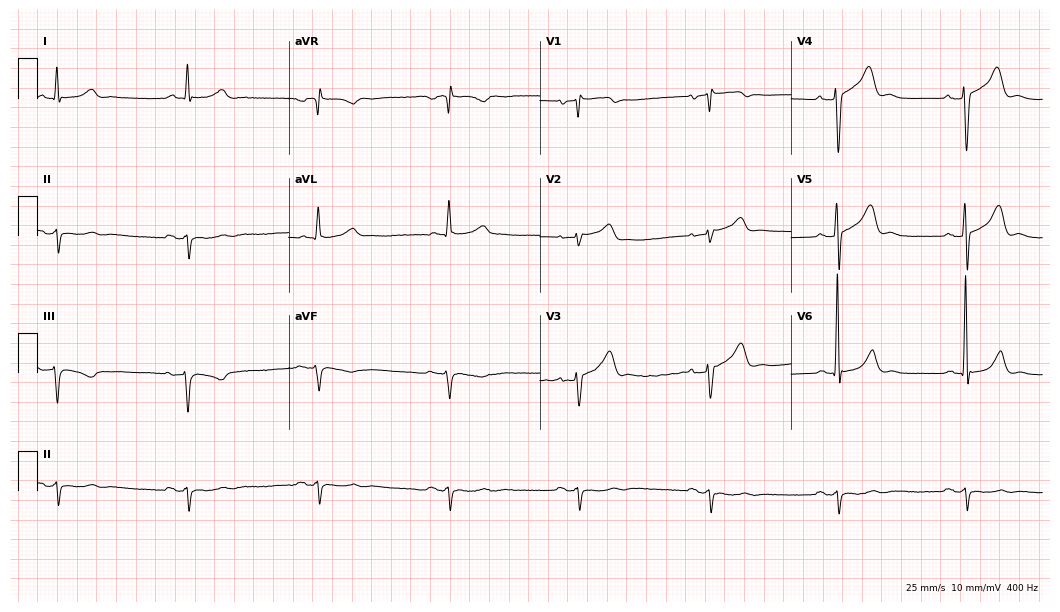
Electrocardiogram (10.2-second recording at 400 Hz), a male, 77 years old. Interpretation includes sinus bradycardia (a sinus rate of 50 beats per minute or less).